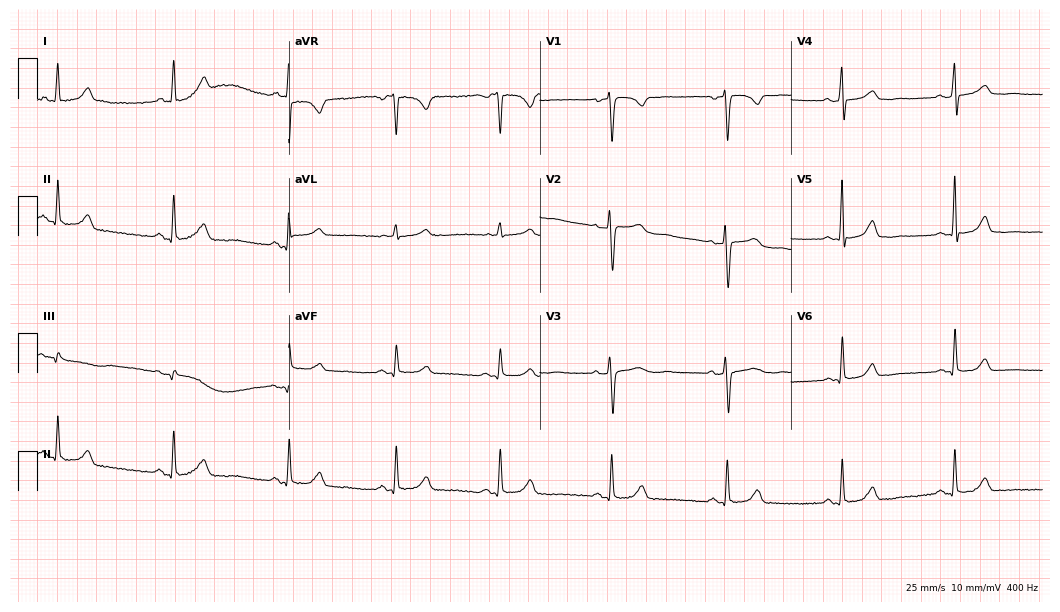
ECG — a 58-year-old male. Labelled as a normal ECG.